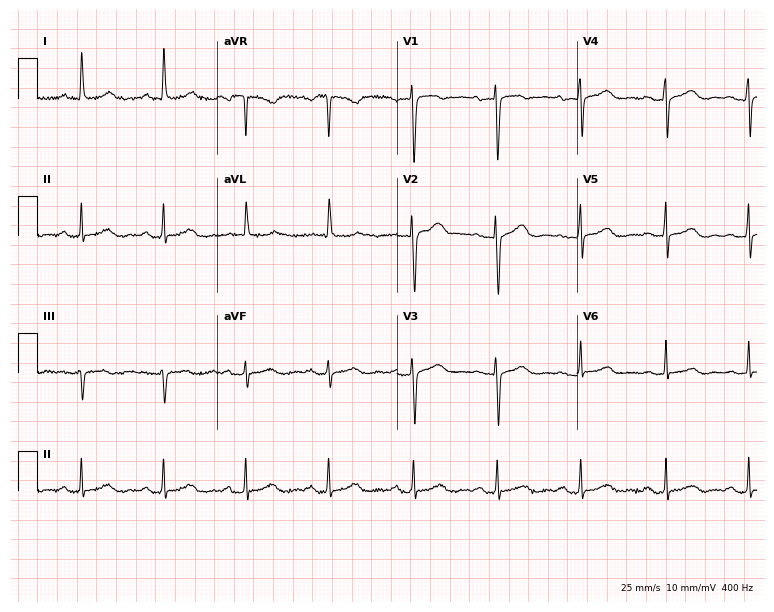
12-lead ECG (7.3-second recording at 400 Hz) from an 80-year-old female. Labelled as a normal ECG.